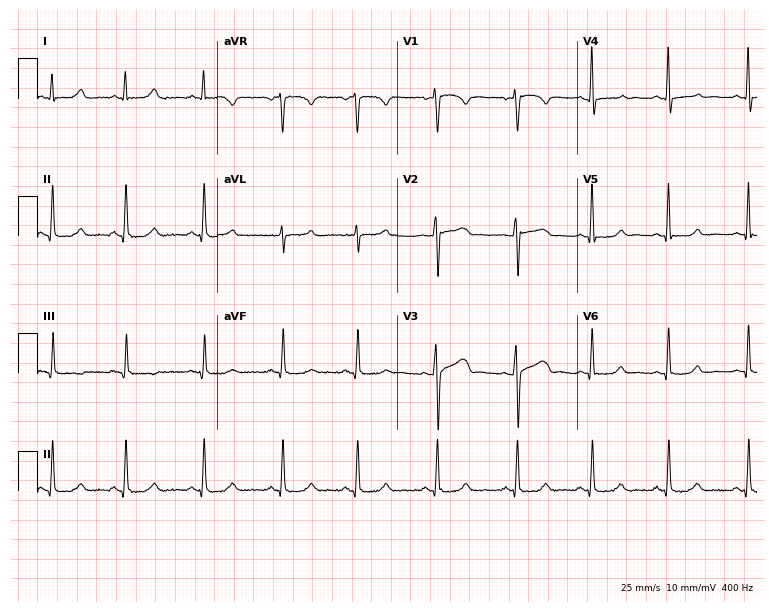
Electrocardiogram (7.3-second recording at 400 Hz), a 34-year-old female. Overall reading on record: normal ECG.